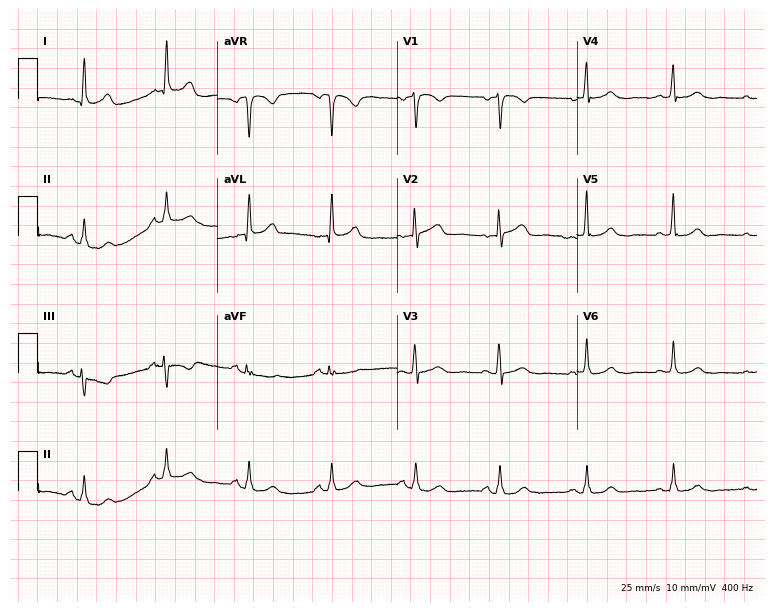
12-lead ECG (7.3-second recording at 400 Hz) from a 63-year-old female. Labelled as a normal ECG.